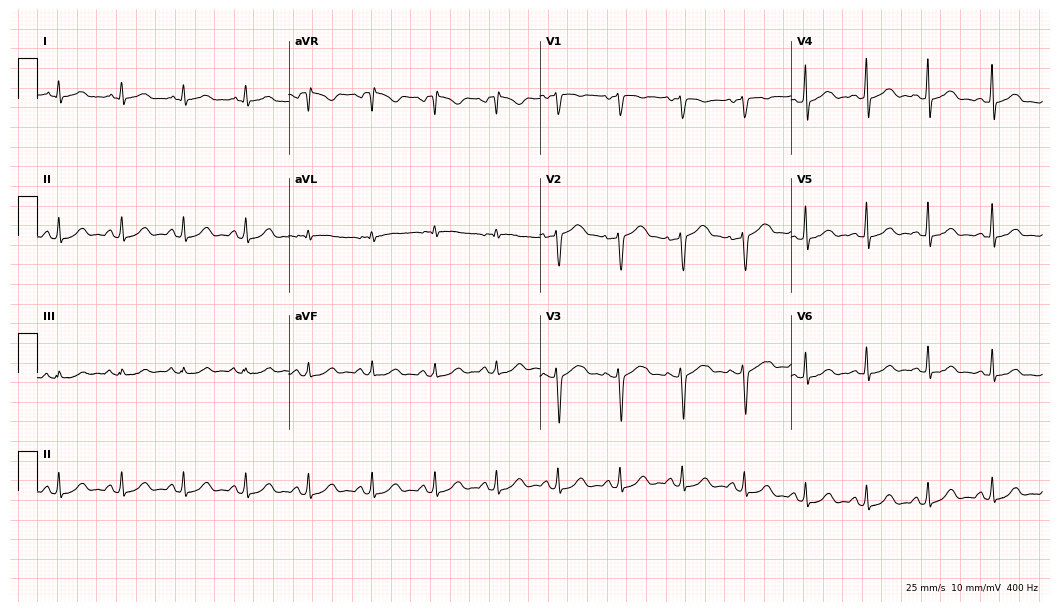
Electrocardiogram (10.2-second recording at 400 Hz), a woman, 44 years old. Of the six screened findings (first-degree AV block, right bundle branch block (RBBB), left bundle branch block (LBBB), sinus bradycardia, atrial fibrillation (AF), sinus tachycardia), none is recorded. Only these six findings were labelled.